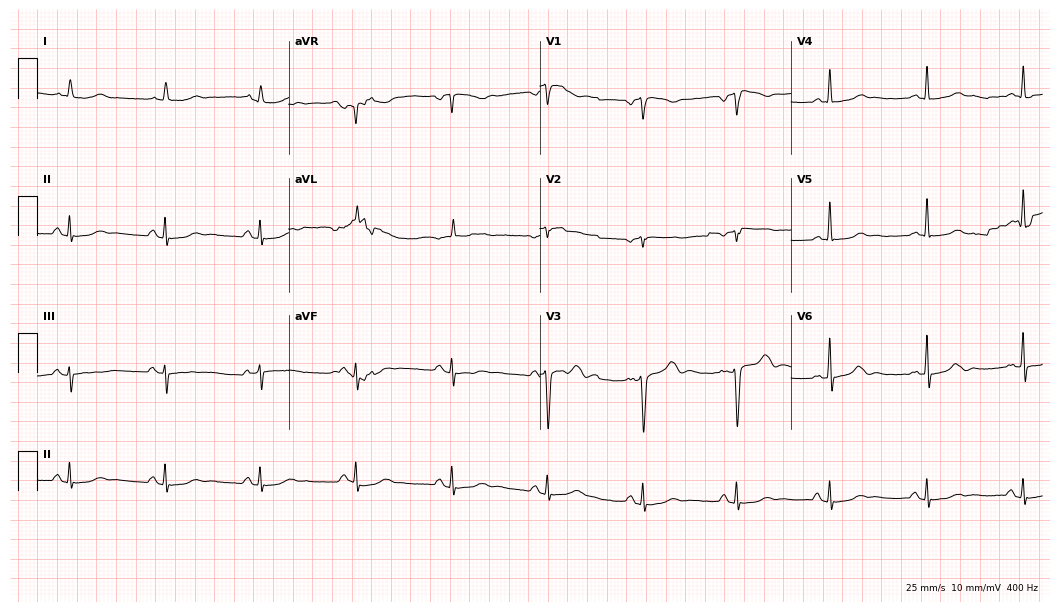
12-lead ECG from an 81-year-old female (10.2-second recording at 400 Hz). No first-degree AV block, right bundle branch block (RBBB), left bundle branch block (LBBB), sinus bradycardia, atrial fibrillation (AF) or sinus tachycardia recorded for this tracing. Findings outside these six are not listed.